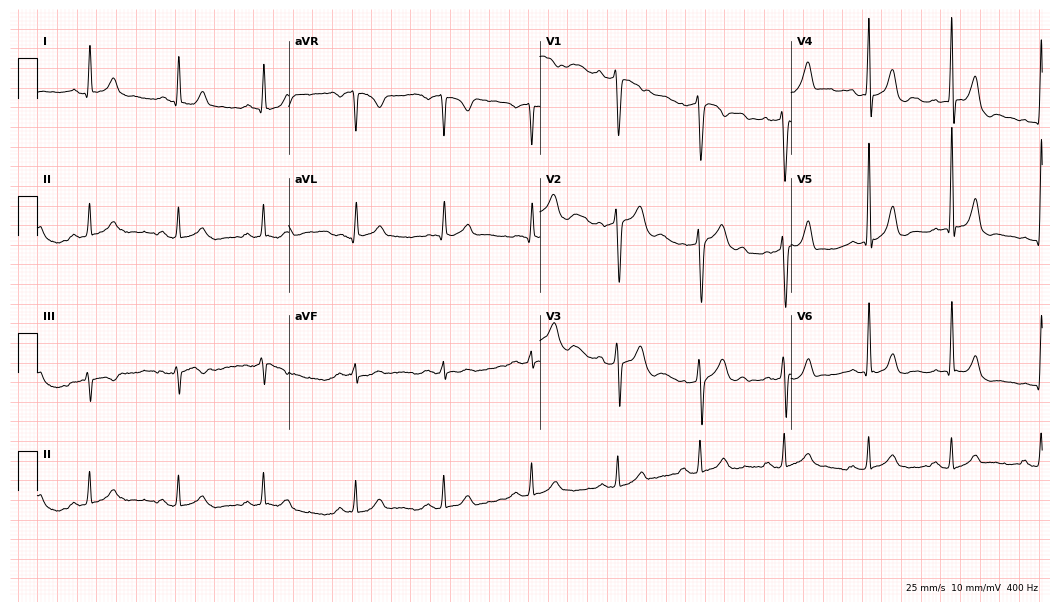
Standard 12-lead ECG recorded from a 30-year-old man (10.2-second recording at 400 Hz). Read as a normal ECG.